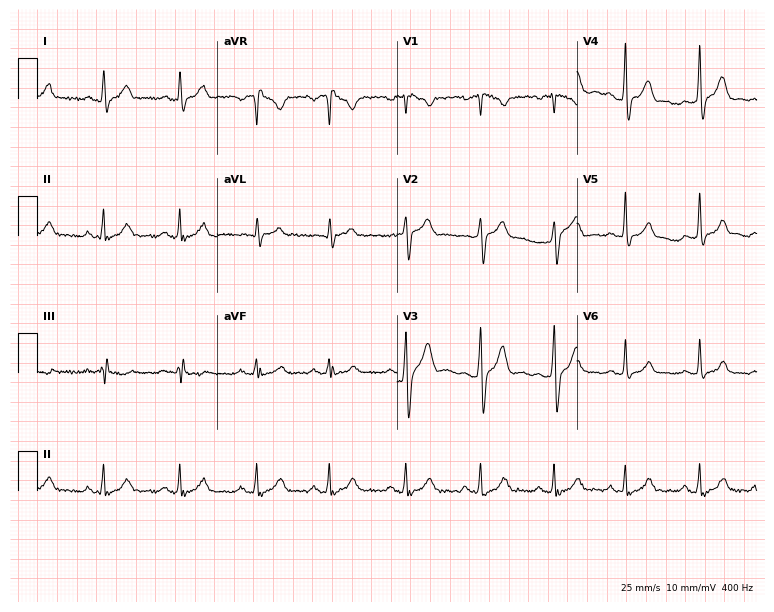
Standard 12-lead ECG recorded from a 37-year-old male patient. Read as a normal ECG.